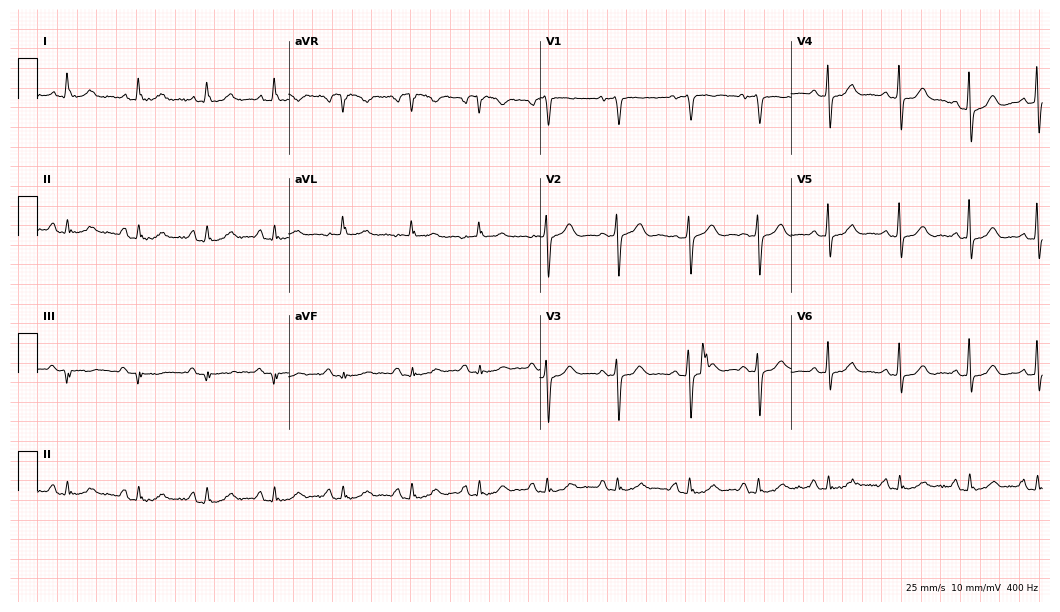
Resting 12-lead electrocardiogram. Patient: a 60-year-old female. None of these six findings is recorded: first-degree AV block, right bundle branch block, left bundle branch block, sinus bradycardia, atrial fibrillation, sinus tachycardia. Findings outside these six are not listed.